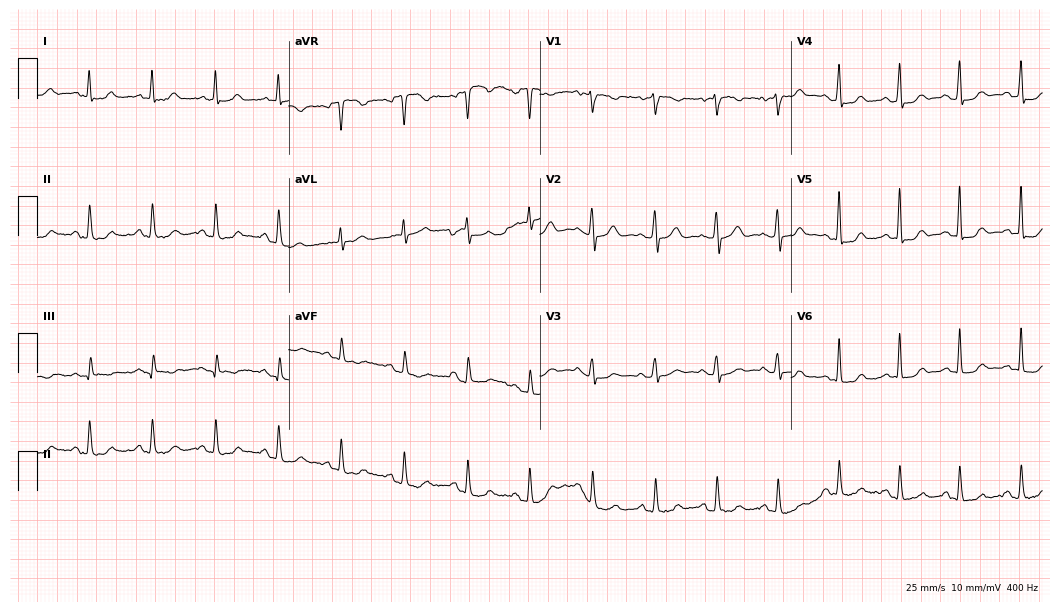
12-lead ECG from a female, 83 years old (10.2-second recording at 400 Hz). No first-degree AV block, right bundle branch block, left bundle branch block, sinus bradycardia, atrial fibrillation or sinus tachycardia recorded for this tracing.